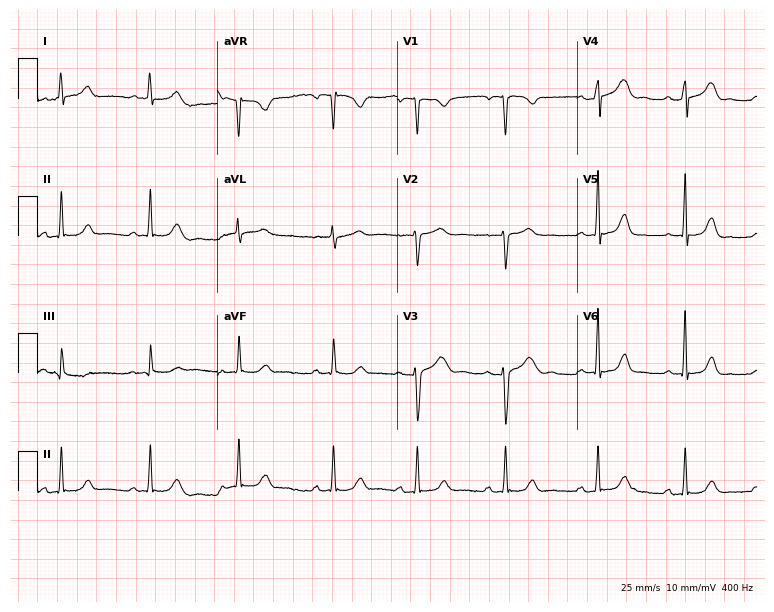
ECG (7.3-second recording at 400 Hz) — a 27-year-old female patient. Screened for six findings — first-degree AV block, right bundle branch block, left bundle branch block, sinus bradycardia, atrial fibrillation, sinus tachycardia — none is recorded. Findings outside these six are not listed.